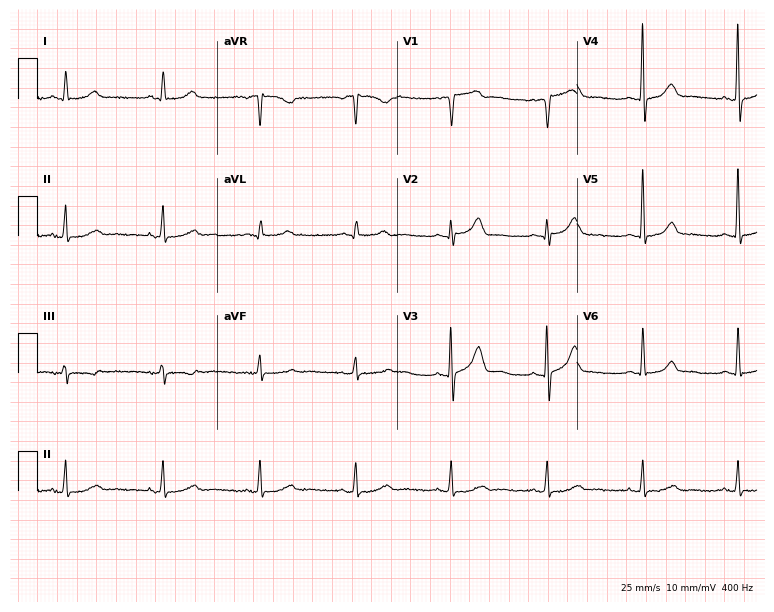
Electrocardiogram (7.3-second recording at 400 Hz), a 56-year-old male patient. Of the six screened findings (first-degree AV block, right bundle branch block, left bundle branch block, sinus bradycardia, atrial fibrillation, sinus tachycardia), none is recorded.